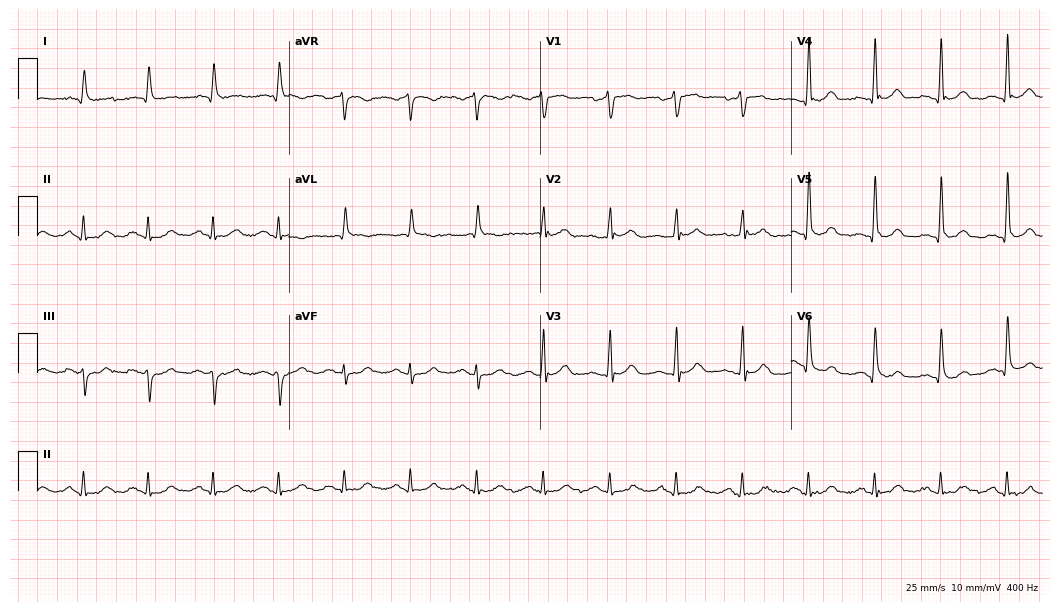
Electrocardiogram (10.2-second recording at 400 Hz), a 77-year-old male patient. Of the six screened findings (first-degree AV block, right bundle branch block, left bundle branch block, sinus bradycardia, atrial fibrillation, sinus tachycardia), none is recorded. Findings outside these six are not listed.